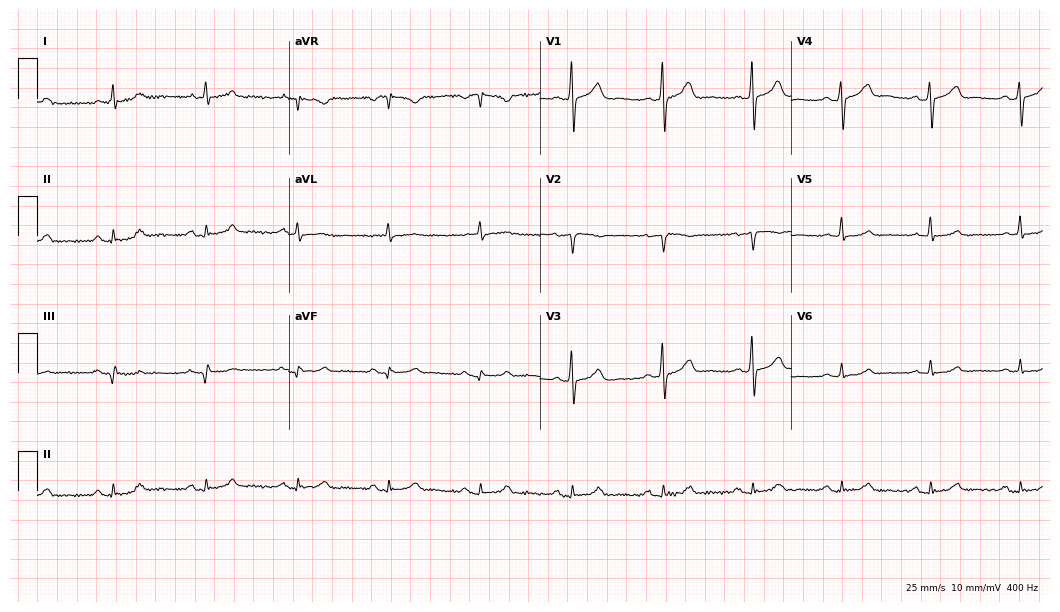
Resting 12-lead electrocardiogram (10.2-second recording at 400 Hz). Patient: a 70-year-old male. Read as a normal ECG.